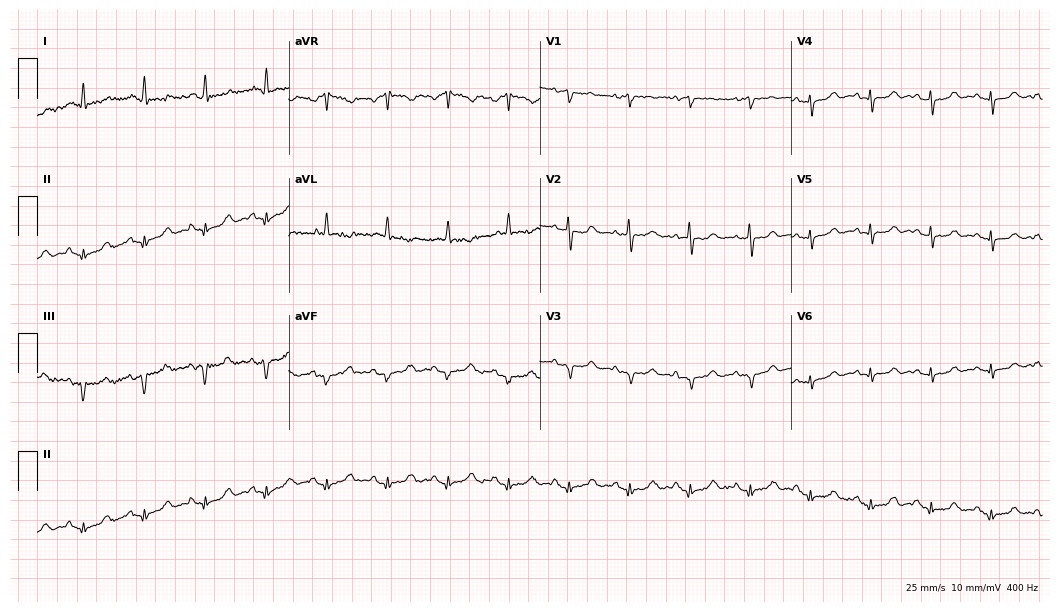
ECG (10.2-second recording at 400 Hz) — a female, 72 years old. Screened for six findings — first-degree AV block, right bundle branch block, left bundle branch block, sinus bradycardia, atrial fibrillation, sinus tachycardia — none is recorded. Other findings, if any, are not listed.